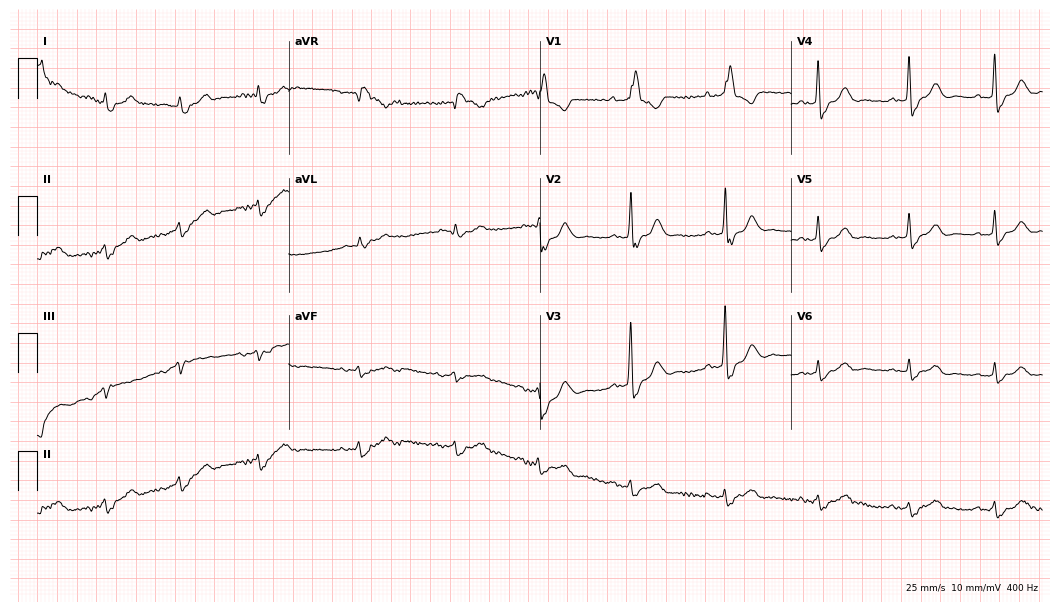
Standard 12-lead ECG recorded from an 81-year-old male patient. None of these six findings is recorded: first-degree AV block, right bundle branch block, left bundle branch block, sinus bradycardia, atrial fibrillation, sinus tachycardia. Only these six findings were labelled.